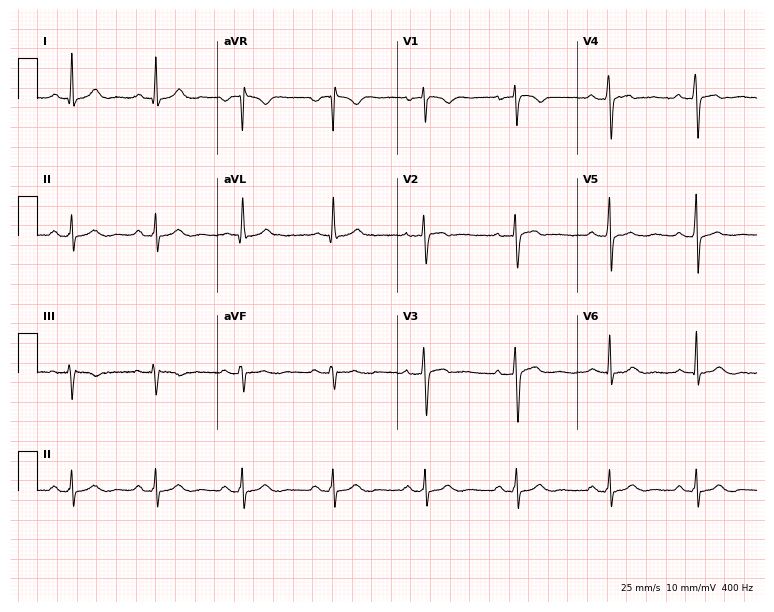
Standard 12-lead ECG recorded from a 29-year-old man. None of these six findings is recorded: first-degree AV block, right bundle branch block, left bundle branch block, sinus bradycardia, atrial fibrillation, sinus tachycardia. Other findings, if any, are not listed.